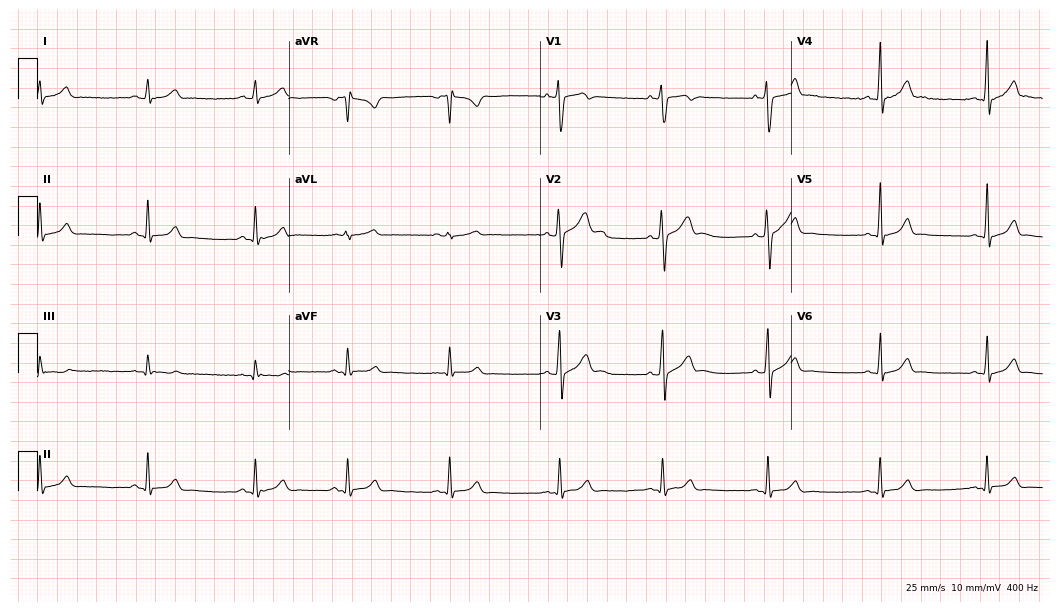
Resting 12-lead electrocardiogram. Patient: an 18-year-old male. Read as a normal ECG.